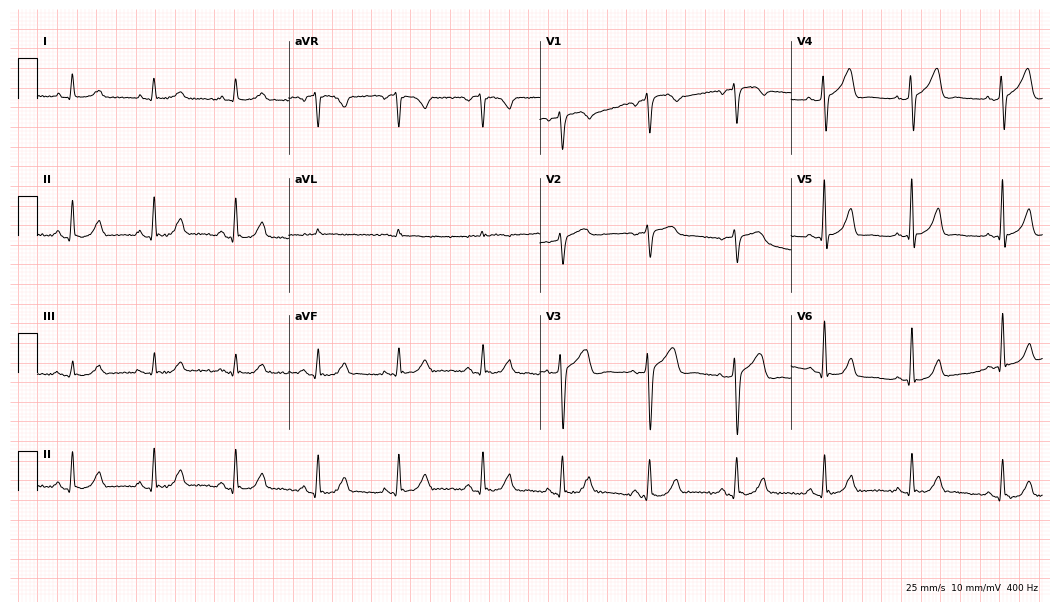
Resting 12-lead electrocardiogram (10.2-second recording at 400 Hz). Patient: a woman, 59 years old. Read as a normal ECG.